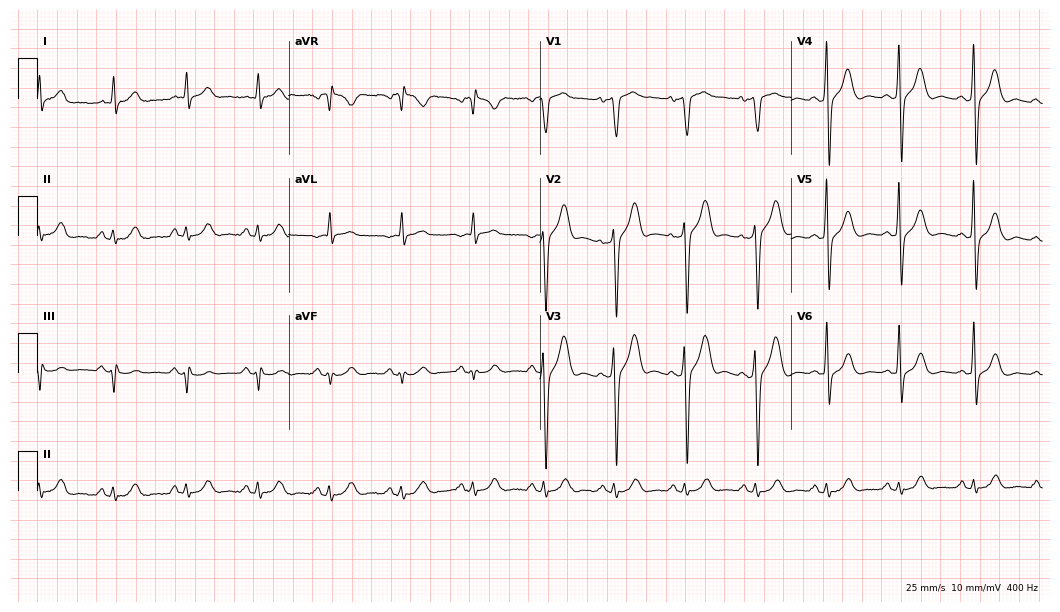
Standard 12-lead ECG recorded from a 61-year-old male. Read as a normal ECG.